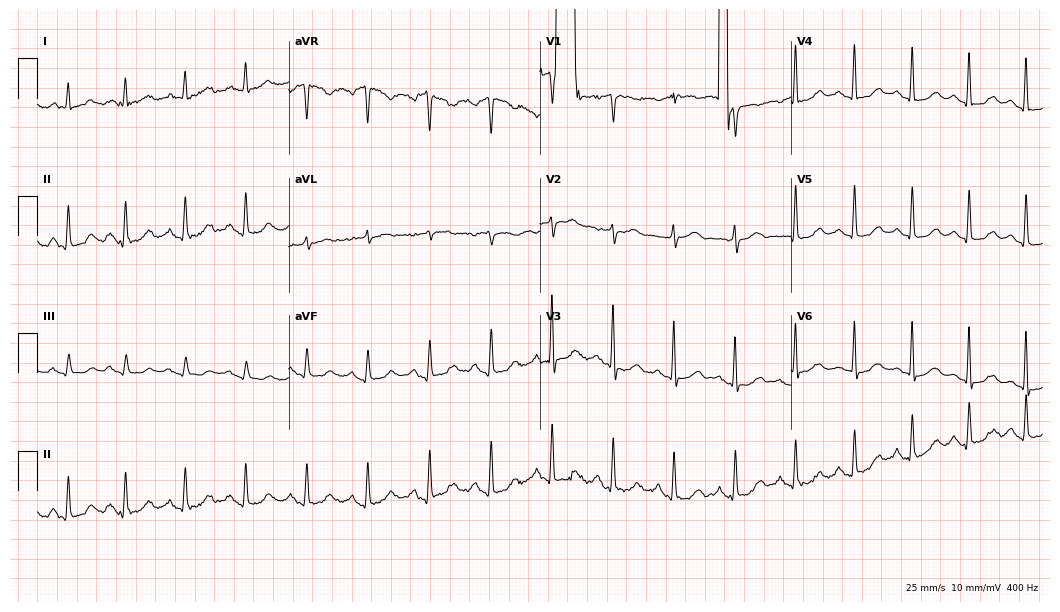
Standard 12-lead ECG recorded from a female patient, 63 years old (10.2-second recording at 400 Hz). Read as a normal ECG.